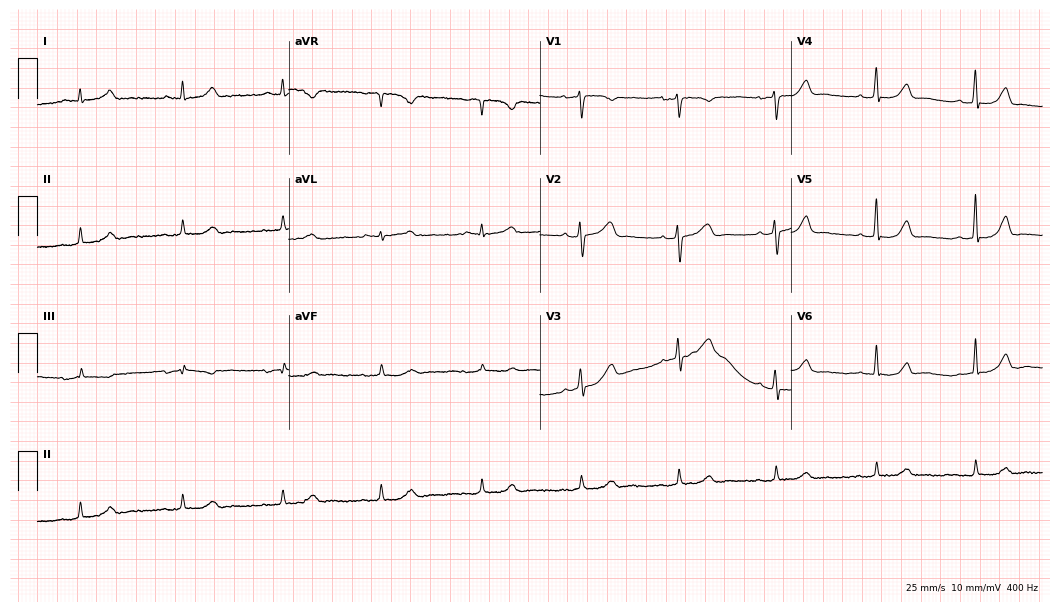
12-lead ECG from a 61-year-old female patient. Recorded interpretation: within normal limits.